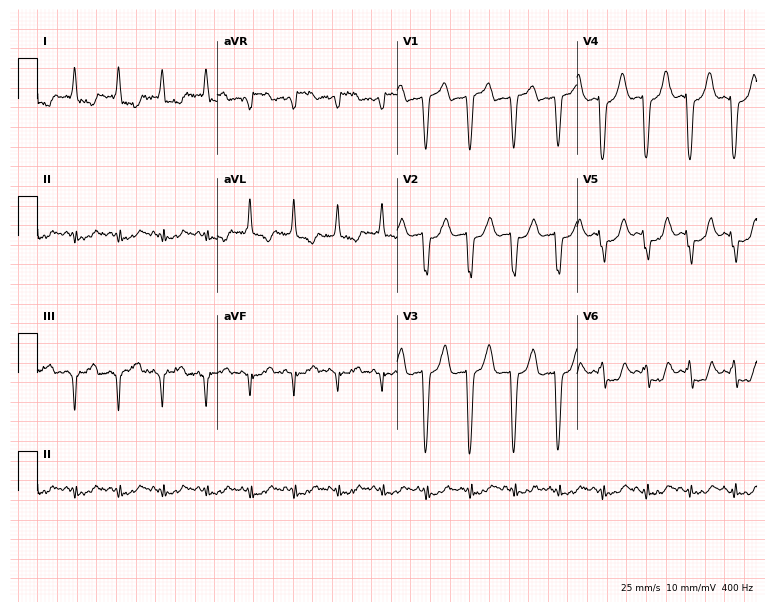
ECG — a female, 90 years old or older. Findings include sinus tachycardia (a sinus rate of 100 beats per minute or more).